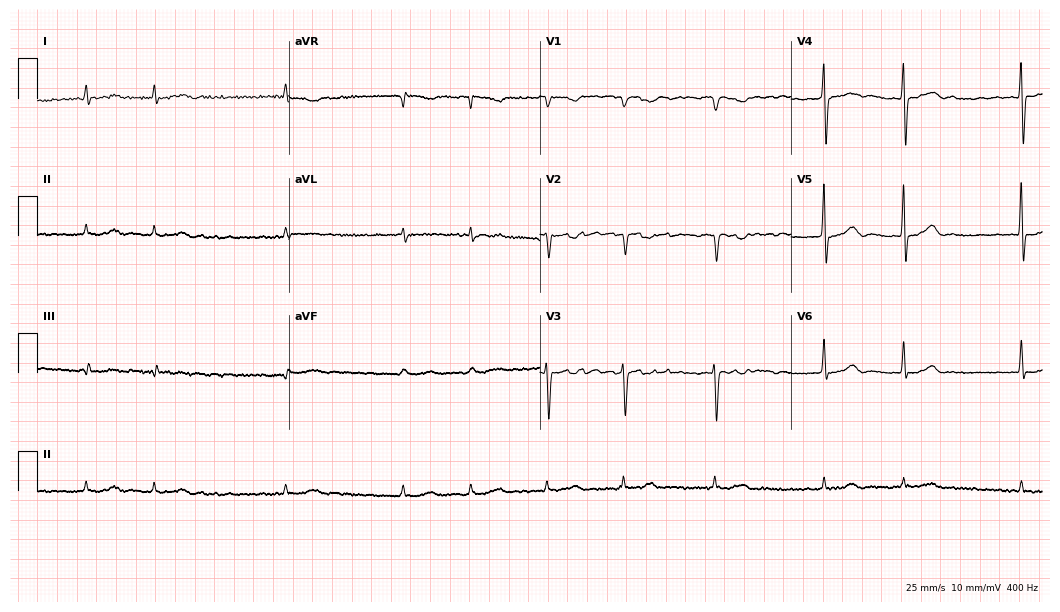
Electrocardiogram, a female patient, 77 years old. Interpretation includes atrial fibrillation.